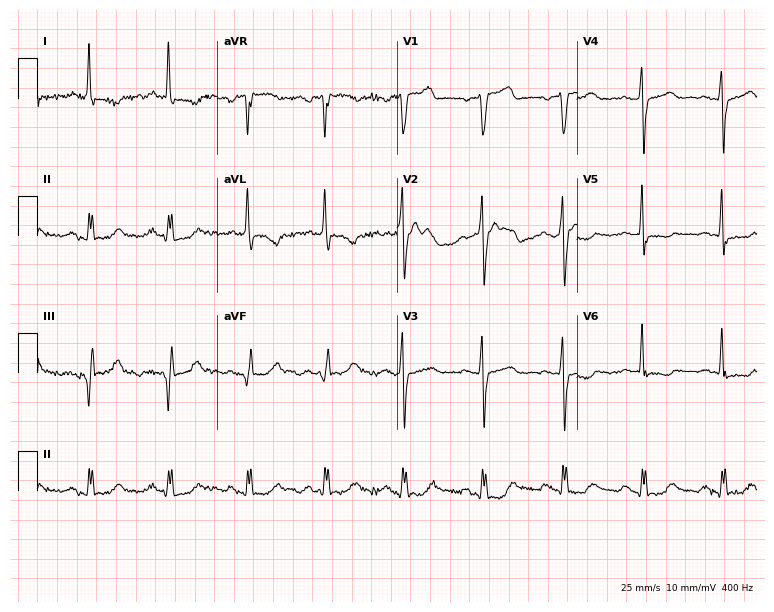
Electrocardiogram, a female, 77 years old. Of the six screened findings (first-degree AV block, right bundle branch block, left bundle branch block, sinus bradycardia, atrial fibrillation, sinus tachycardia), none is recorded.